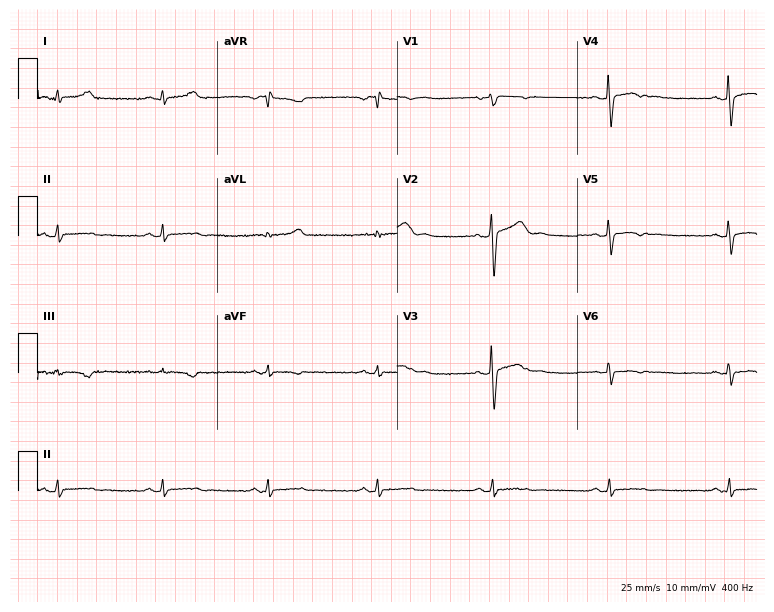
12-lead ECG from a male patient, 41 years old. No first-degree AV block, right bundle branch block, left bundle branch block, sinus bradycardia, atrial fibrillation or sinus tachycardia recorded for this tracing. Other findings, if any, are not listed.